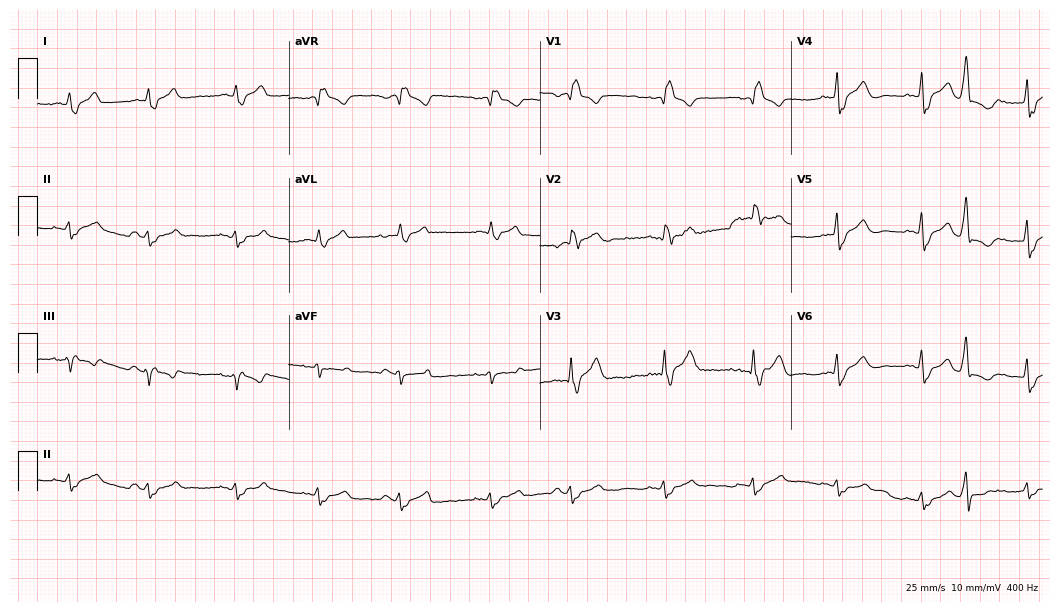
12-lead ECG from a male, 72 years old. Shows right bundle branch block.